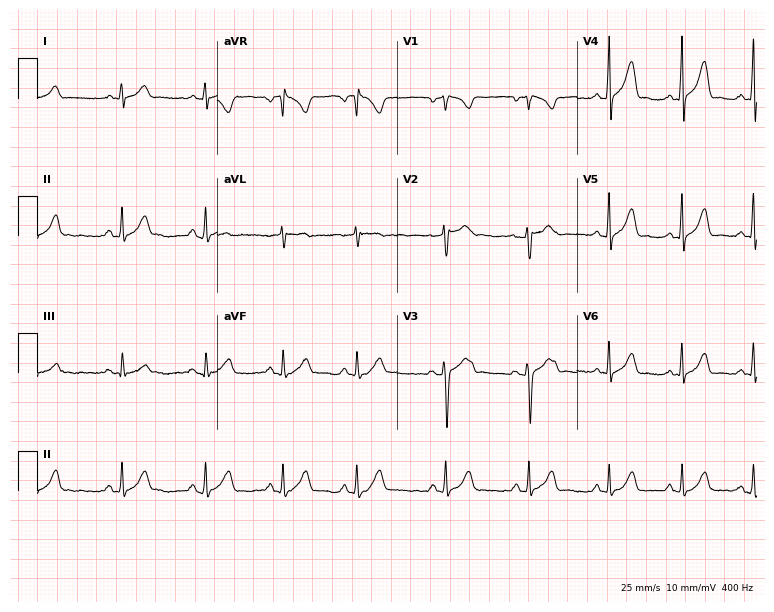
ECG — a 24-year-old woman. Screened for six findings — first-degree AV block, right bundle branch block (RBBB), left bundle branch block (LBBB), sinus bradycardia, atrial fibrillation (AF), sinus tachycardia — none is recorded.